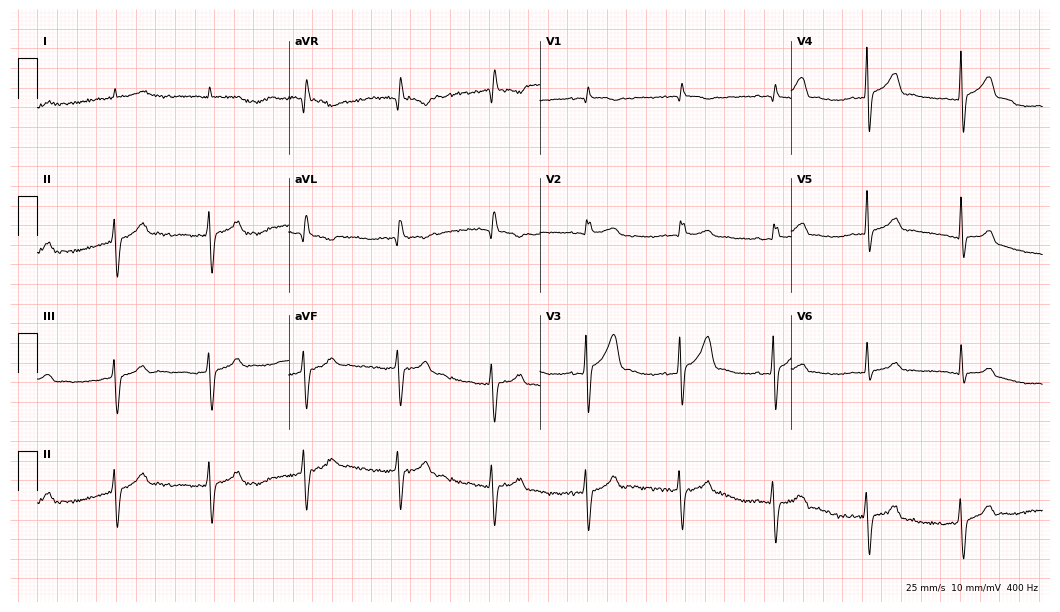
ECG — a 77-year-old man. Screened for six findings — first-degree AV block, right bundle branch block (RBBB), left bundle branch block (LBBB), sinus bradycardia, atrial fibrillation (AF), sinus tachycardia — none is recorded.